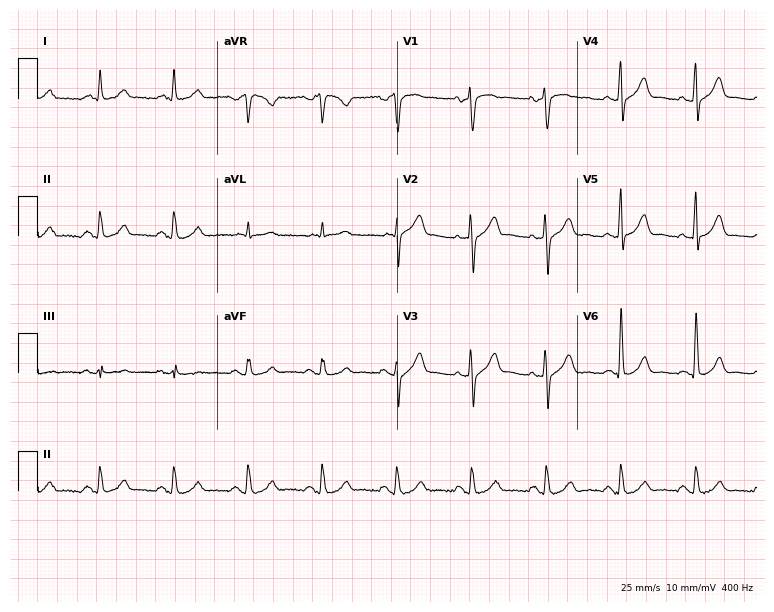
ECG (7.3-second recording at 400 Hz) — a 69-year-old man. Labelled as a normal ECG.